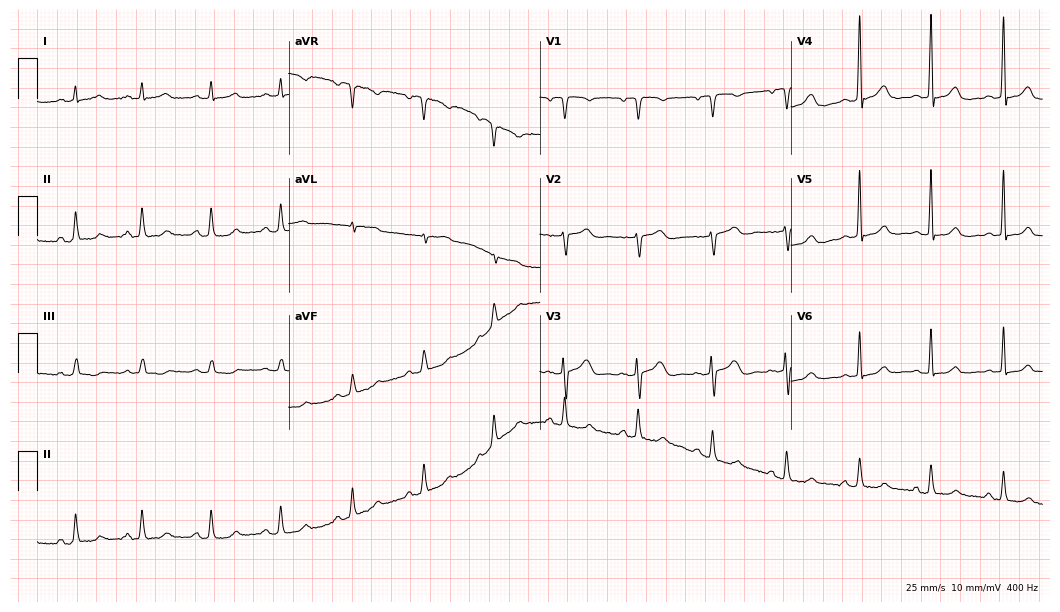
Standard 12-lead ECG recorded from a 49-year-old female patient (10.2-second recording at 400 Hz). Read as a normal ECG.